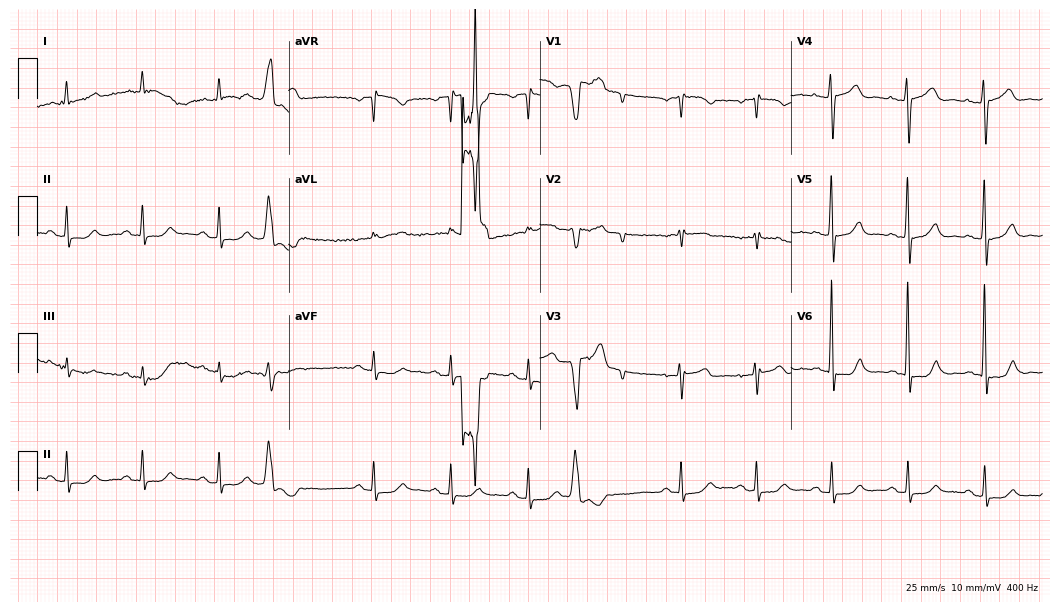
12-lead ECG from a female, 83 years old. Screened for six findings — first-degree AV block, right bundle branch block, left bundle branch block, sinus bradycardia, atrial fibrillation, sinus tachycardia — none is recorded.